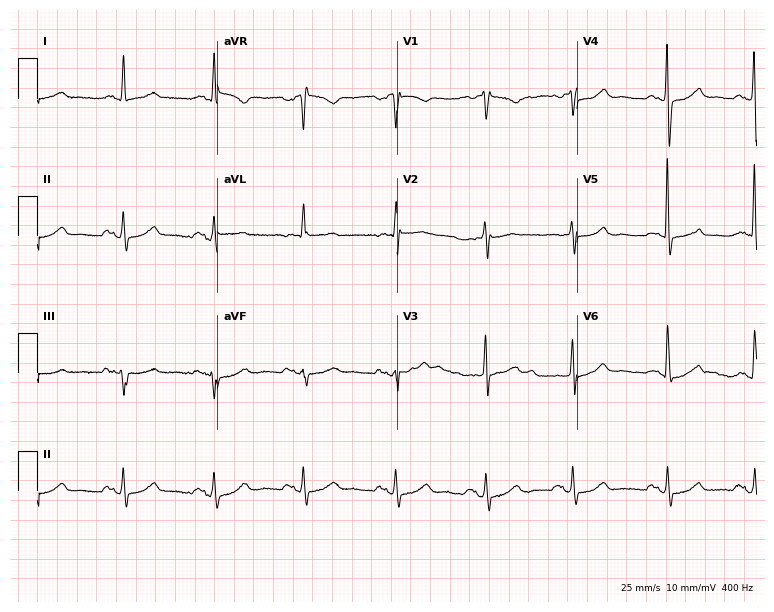
12-lead ECG from a 70-year-old woman. No first-degree AV block, right bundle branch block, left bundle branch block, sinus bradycardia, atrial fibrillation or sinus tachycardia recorded for this tracing.